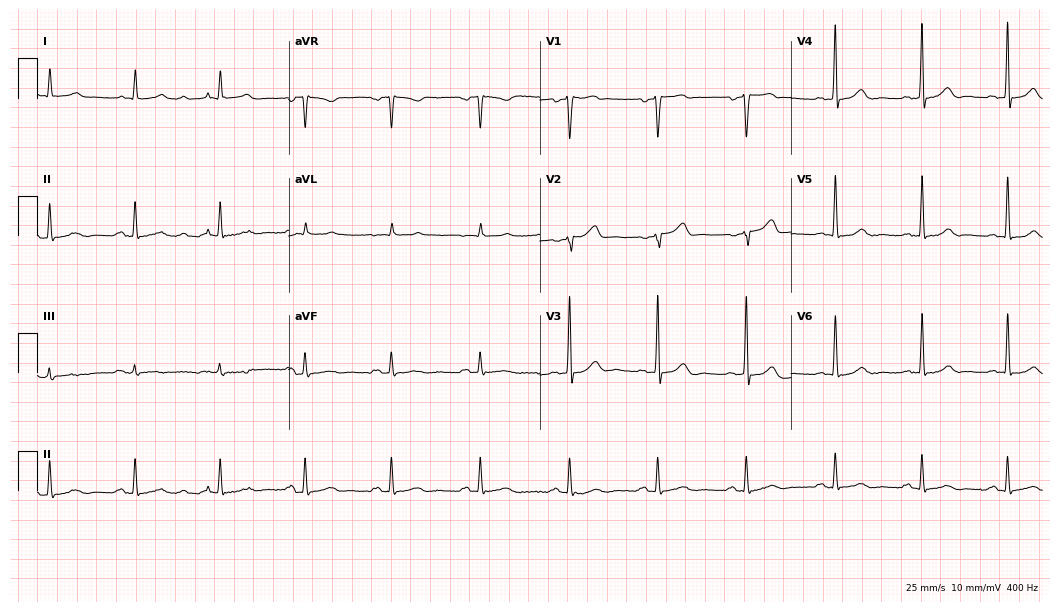
Resting 12-lead electrocardiogram. Patient: a 69-year-old man. None of these six findings is recorded: first-degree AV block, right bundle branch block, left bundle branch block, sinus bradycardia, atrial fibrillation, sinus tachycardia. Findings outside these six are not listed.